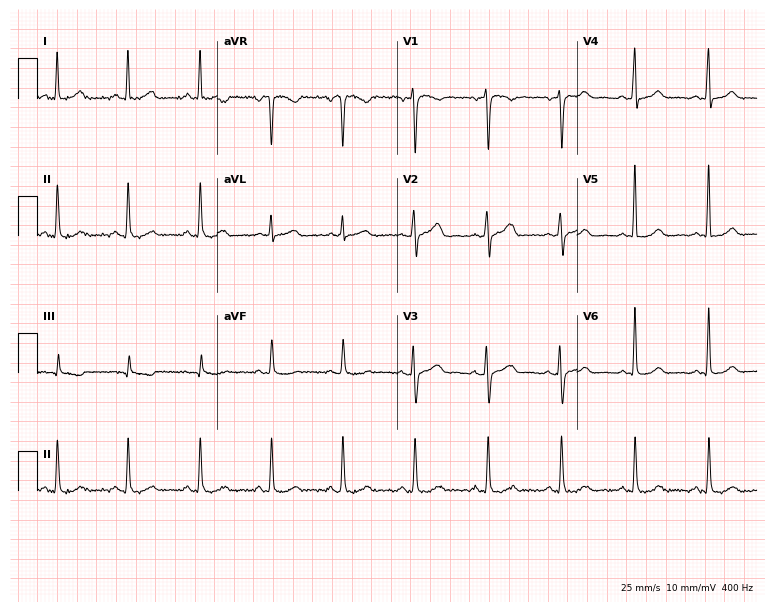
Standard 12-lead ECG recorded from a 40-year-old woman (7.3-second recording at 400 Hz). Read as a normal ECG.